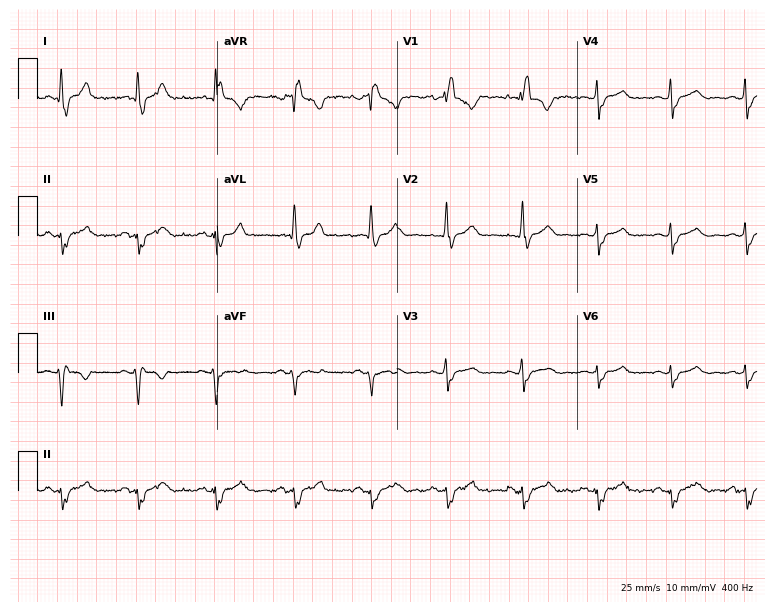
Standard 12-lead ECG recorded from a female patient, 47 years old. The tracing shows right bundle branch block.